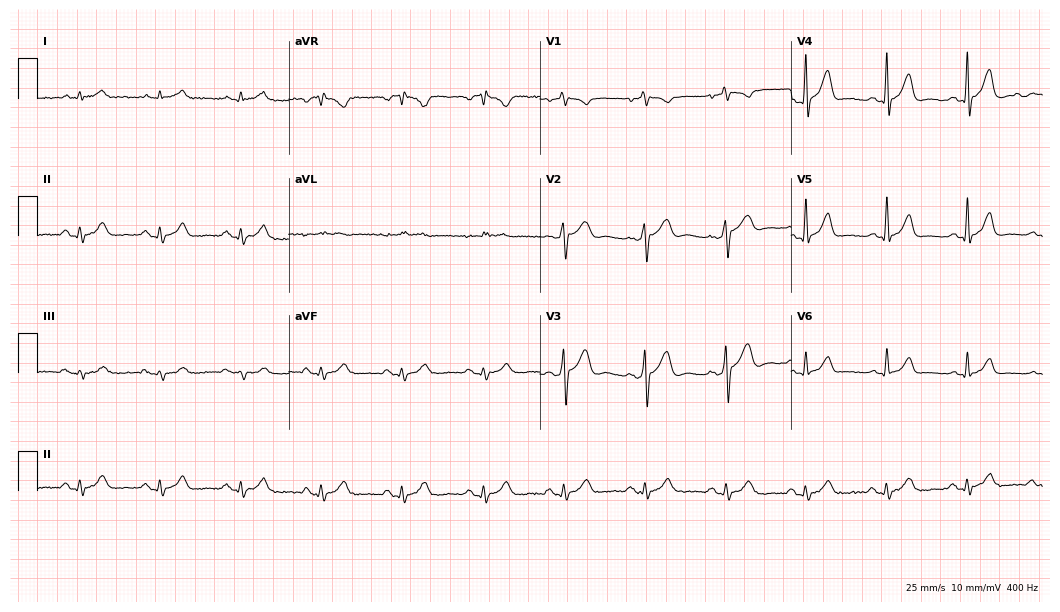
12-lead ECG from a 57-year-old man. Recorded interpretation: within normal limits.